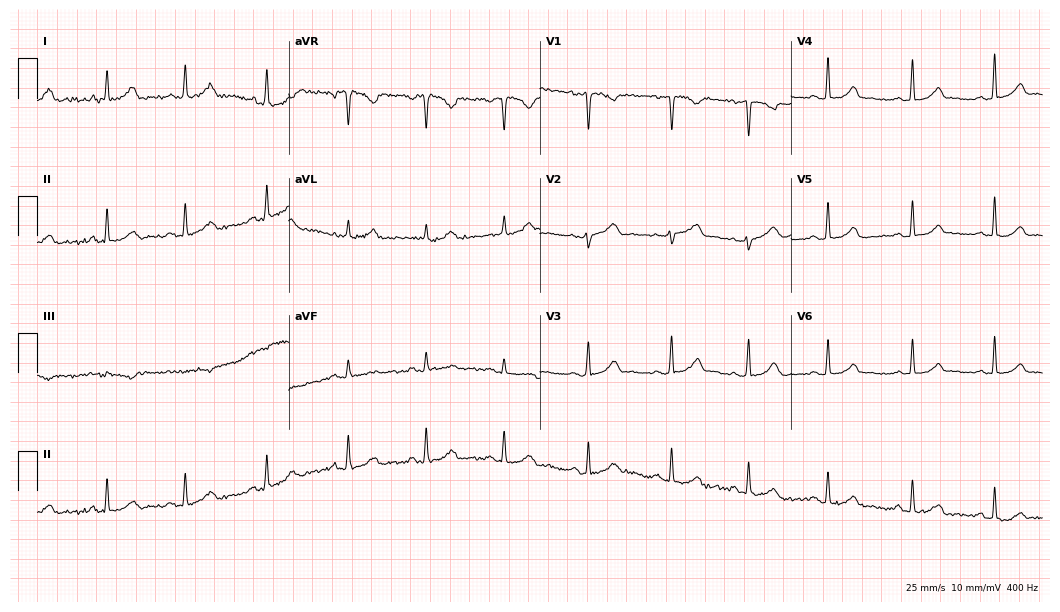
Resting 12-lead electrocardiogram (10.2-second recording at 400 Hz). Patient: a female, 36 years old. Read as a normal ECG.